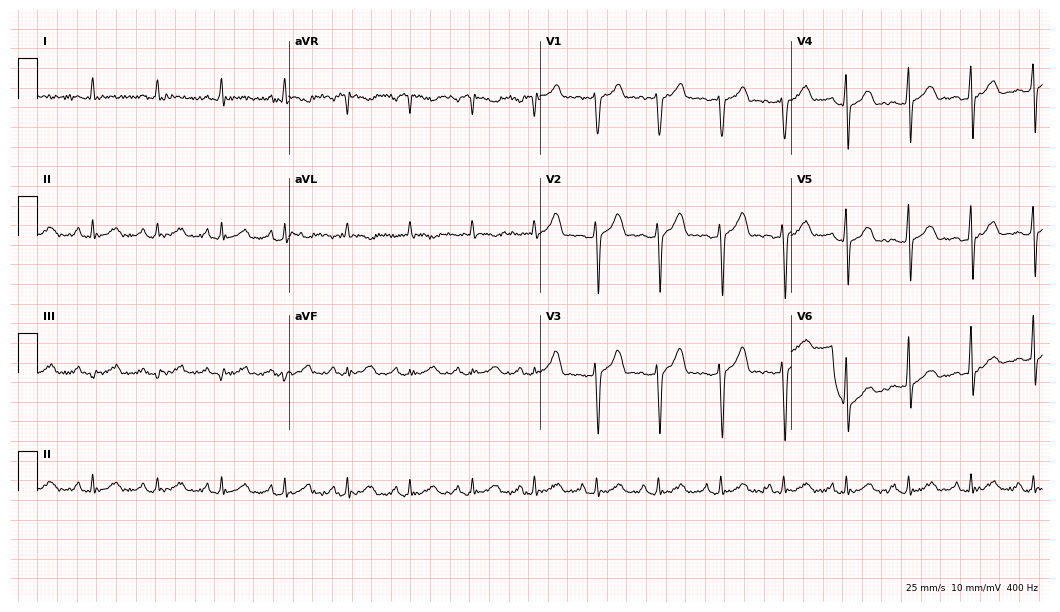
12-lead ECG from a man, 38 years old (10.2-second recording at 400 Hz). No first-degree AV block, right bundle branch block (RBBB), left bundle branch block (LBBB), sinus bradycardia, atrial fibrillation (AF) or sinus tachycardia recorded for this tracing. Only these six findings were labelled.